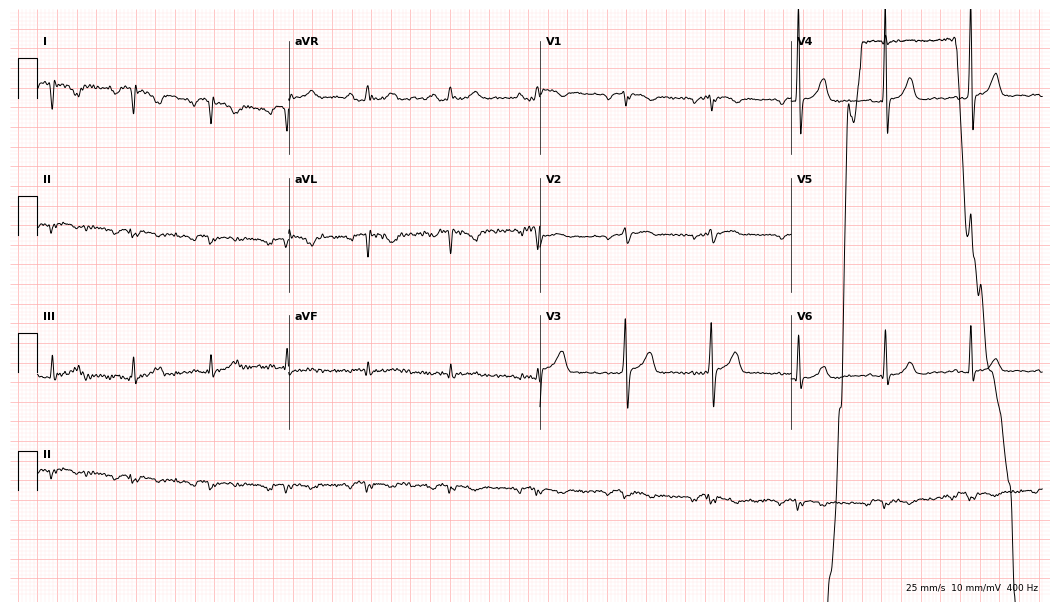
12-lead ECG from a man, 75 years old (10.2-second recording at 400 Hz). No first-degree AV block, right bundle branch block (RBBB), left bundle branch block (LBBB), sinus bradycardia, atrial fibrillation (AF) or sinus tachycardia recorded for this tracing. Only these six findings were labelled.